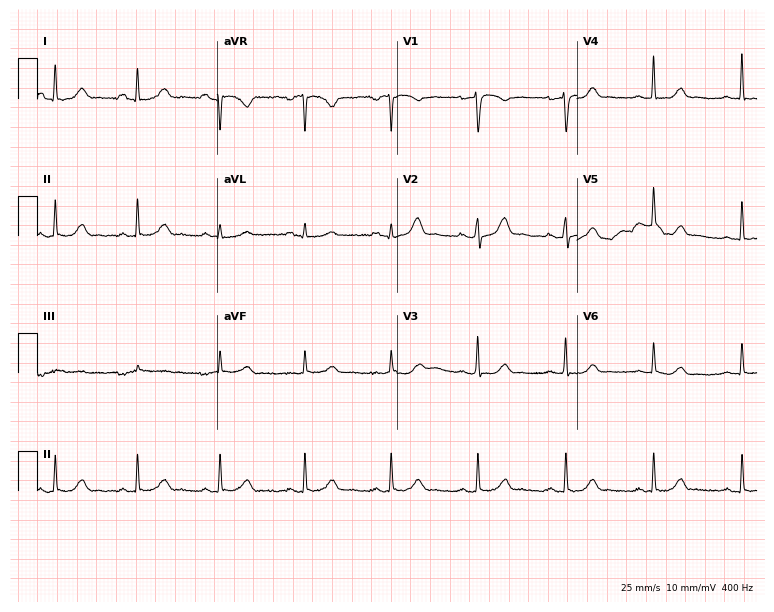
12-lead ECG (7.3-second recording at 400 Hz) from a 52-year-old female. Labelled as a normal ECG.